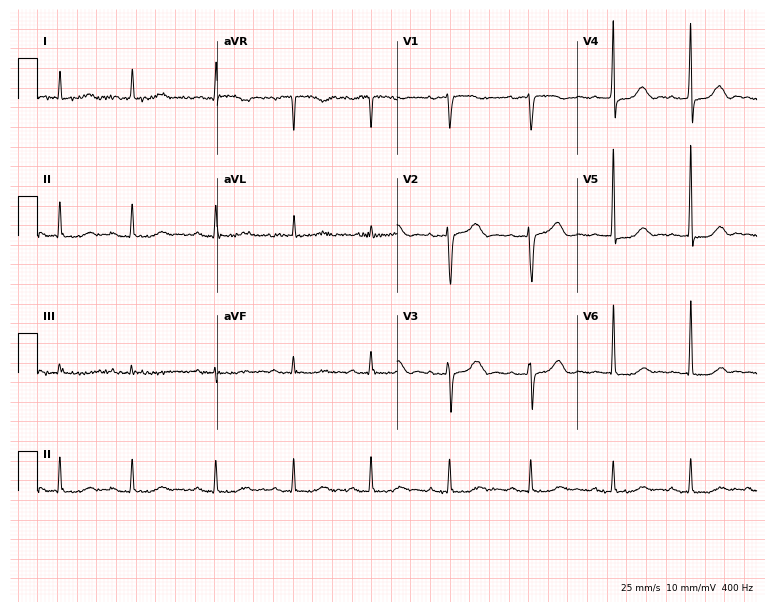
ECG — a woman, 79 years old. Labelled as a normal ECG.